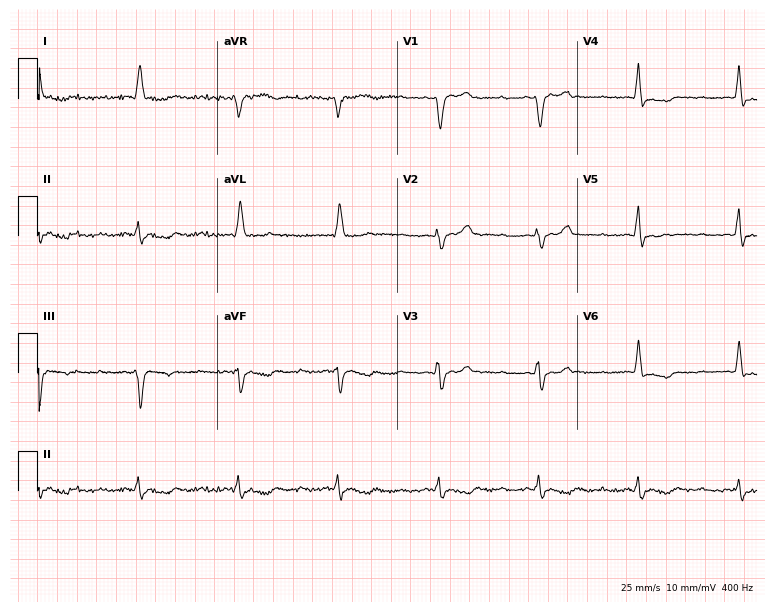
12-lead ECG from a 75-year-old man (7.3-second recording at 400 Hz). No first-degree AV block, right bundle branch block, left bundle branch block, sinus bradycardia, atrial fibrillation or sinus tachycardia recorded for this tracing. Other findings, if any, are not listed.